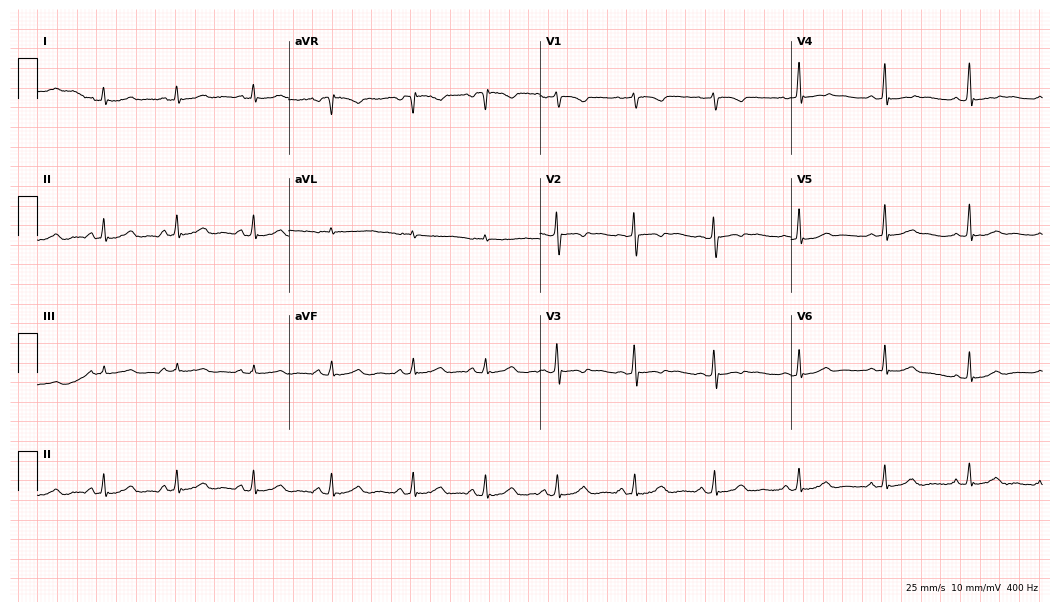
ECG (10.2-second recording at 400 Hz) — a woman, 27 years old. Screened for six findings — first-degree AV block, right bundle branch block, left bundle branch block, sinus bradycardia, atrial fibrillation, sinus tachycardia — none is recorded. Only these six findings were labelled.